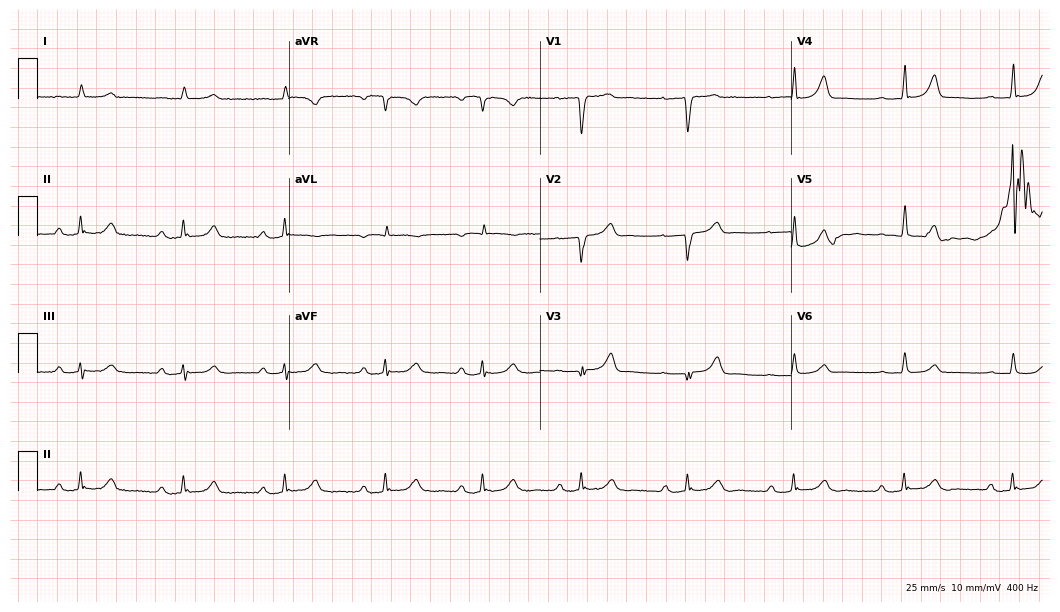
12-lead ECG from a man, 66 years old. Findings include first-degree AV block.